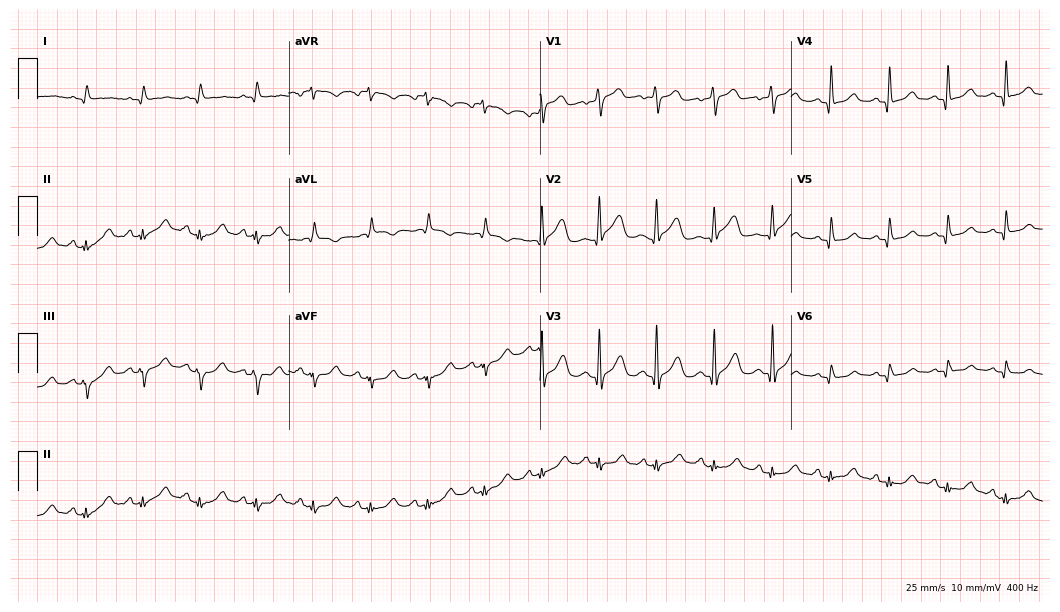
Resting 12-lead electrocardiogram (10.2-second recording at 400 Hz). Patient: a 67-year-old female. The tracing shows sinus tachycardia (a sinus rate of 100 beats per minute or more).